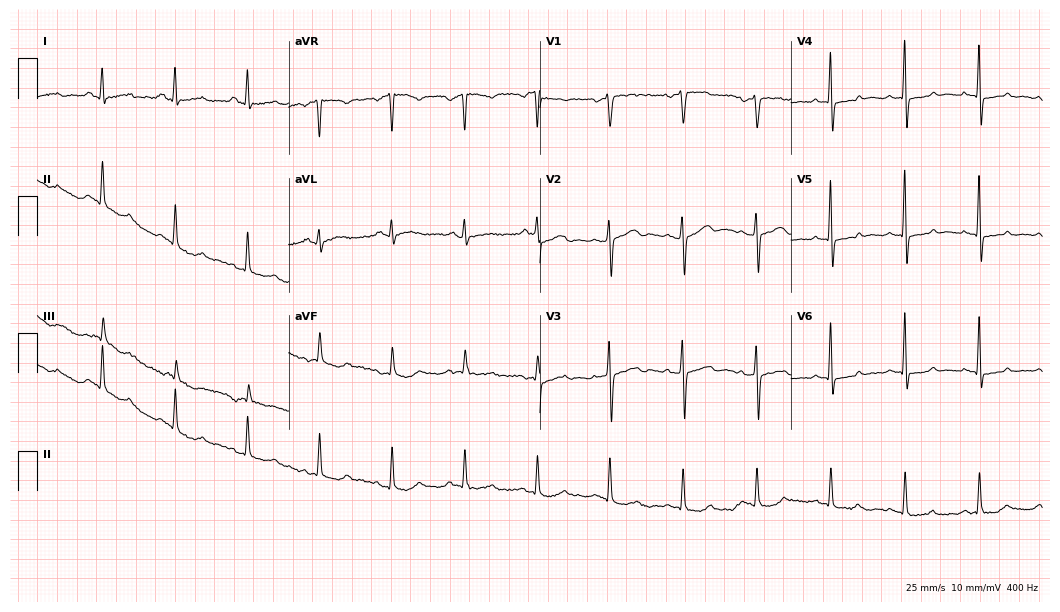
12-lead ECG from a 76-year-old female patient. Recorded interpretation: within normal limits.